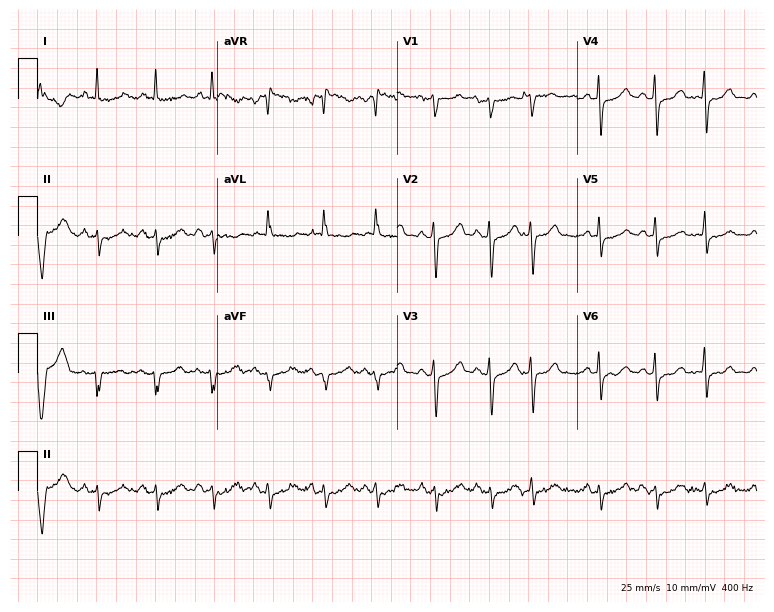
Electrocardiogram (7.3-second recording at 400 Hz), a female, 84 years old. Of the six screened findings (first-degree AV block, right bundle branch block, left bundle branch block, sinus bradycardia, atrial fibrillation, sinus tachycardia), none is recorded.